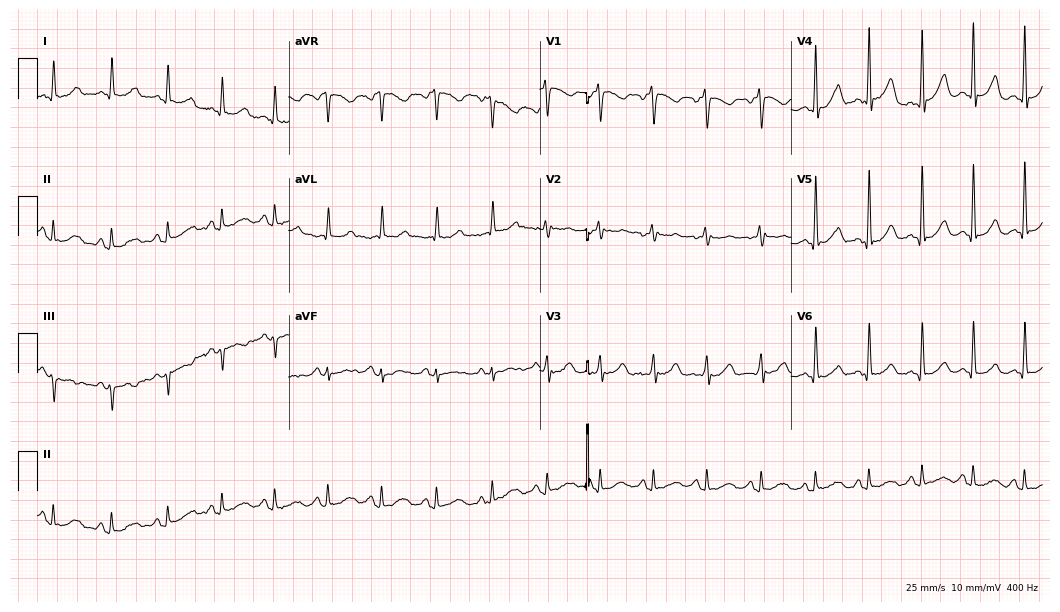
12-lead ECG from a 28-year-old woman. Screened for six findings — first-degree AV block, right bundle branch block, left bundle branch block, sinus bradycardia, atrial fibrillation, sinus tachycardia — none is recorded. Only these six findings were labelled.